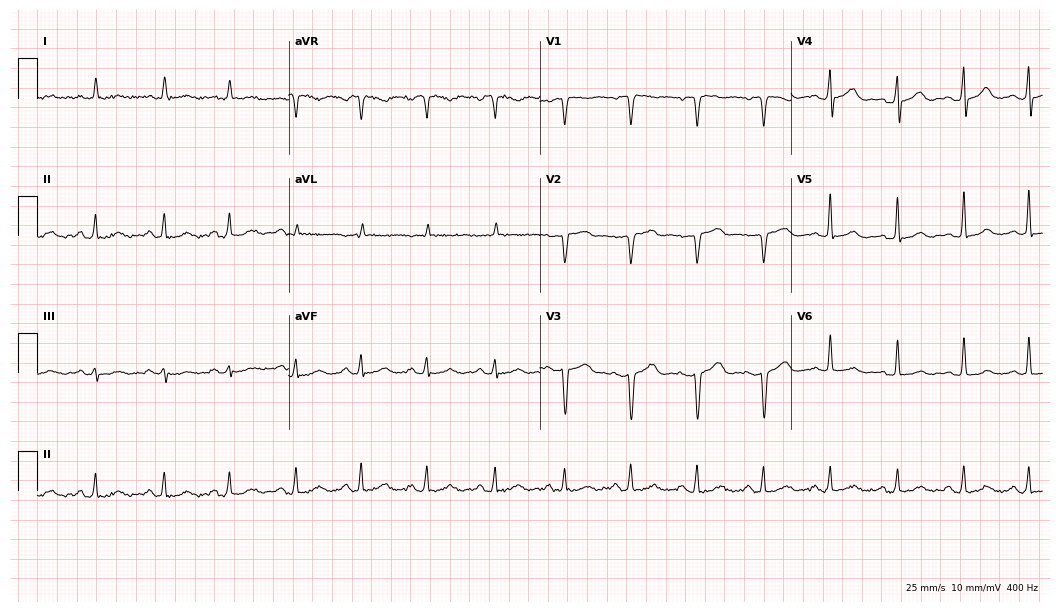
Resting 12-lead electrocardiogram. Patient: a woman, 50 years old. None of these six findings is recorded: first-degree AV block, right bundle branch block (RBBB), left bundle branch block (LBBB), sinus bradycardia, atrial fibrillation (AF), sinus tachycardia. Other findings, if any, are not listed.